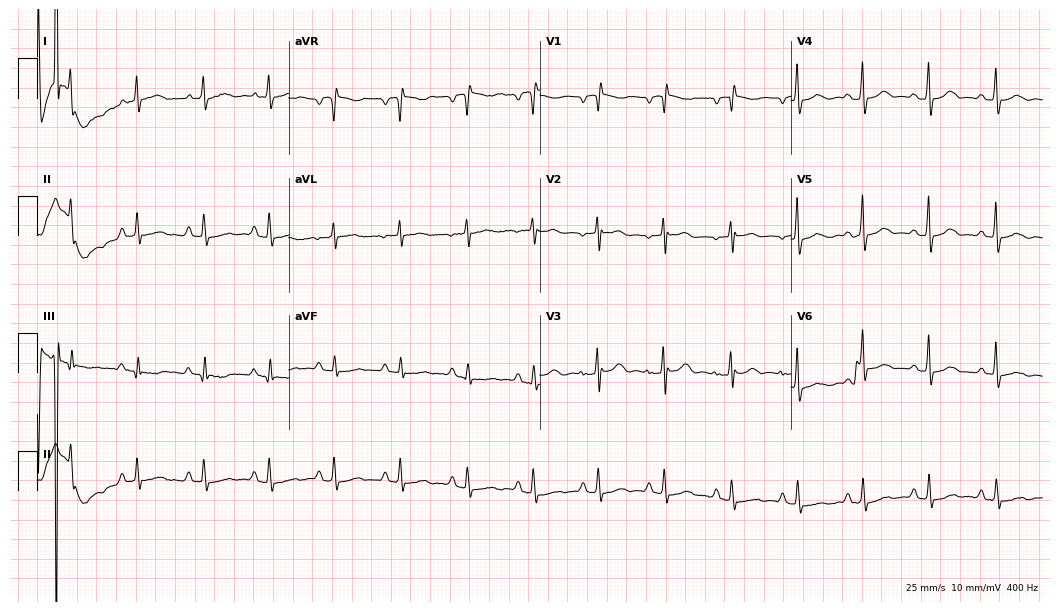
Electrocardiogram (10.2-second recording at 400 Hz), a female, 71 years old. Of the six screened findings (first-degree AV block, right bundle branch block, left bundle branch block, sinus bradycardia, atrial fibrillation, sinus tachycardia), none is recorded.